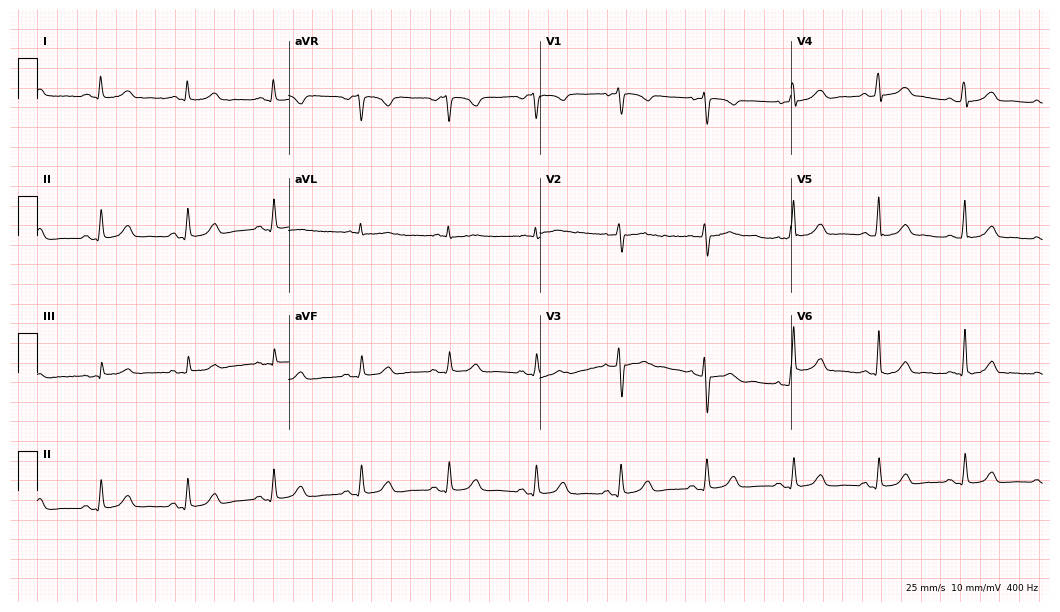
Electrocardiogram, a 51-year-old female patient. Overall reading on record: normal ECG.